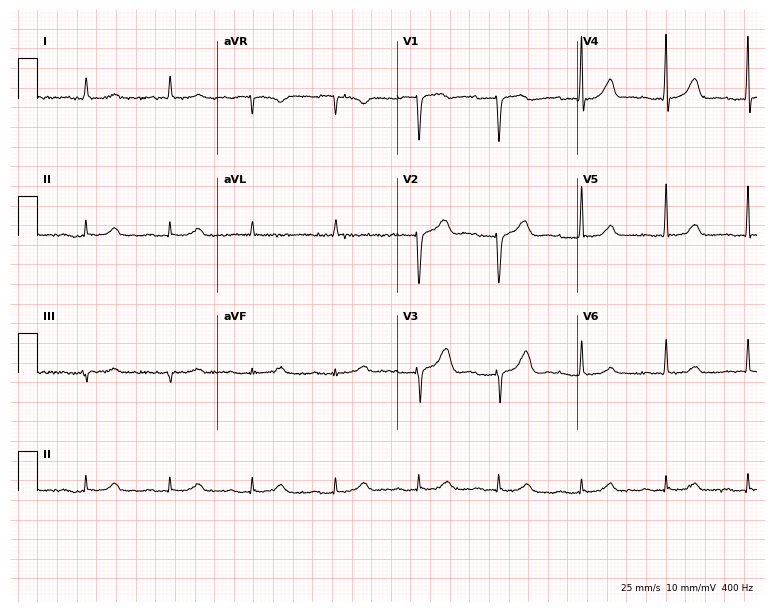
Resting 12-lead electrocardiogram (7.3-second recording at 400 Hz). Patient: a male, 85 years old. None of these six findings is recorded: first-degree AV block, right bundle branch block, left bundle branch block, sinus bradycardia, atrial fibrillation, sinus tachycardia.